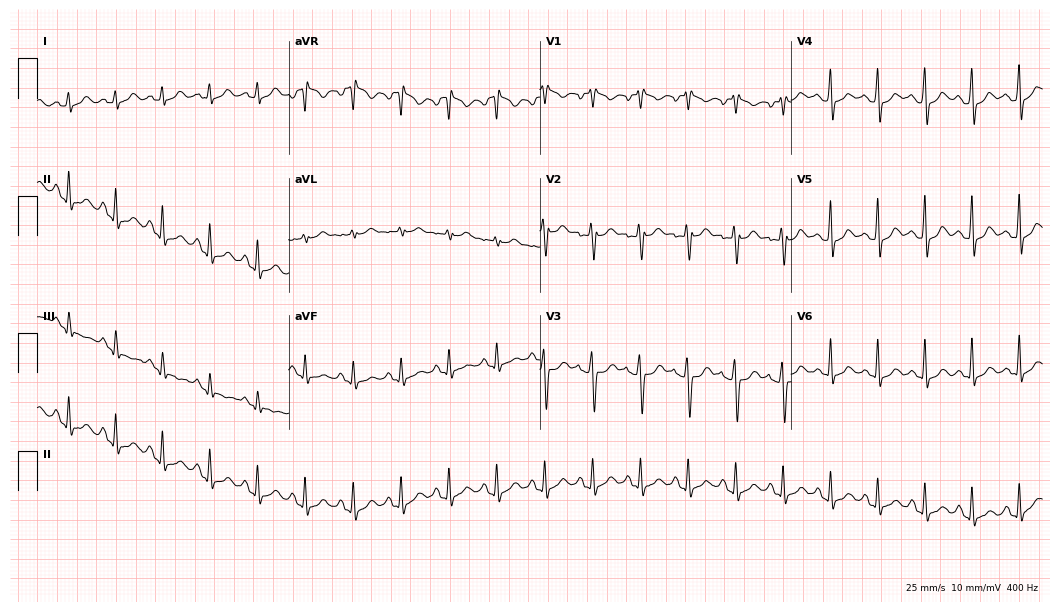
12-lead ECG from a female patient, 36 years old. Shows sinus tachycardia (a sinus rate of 100 beats per minute or more).